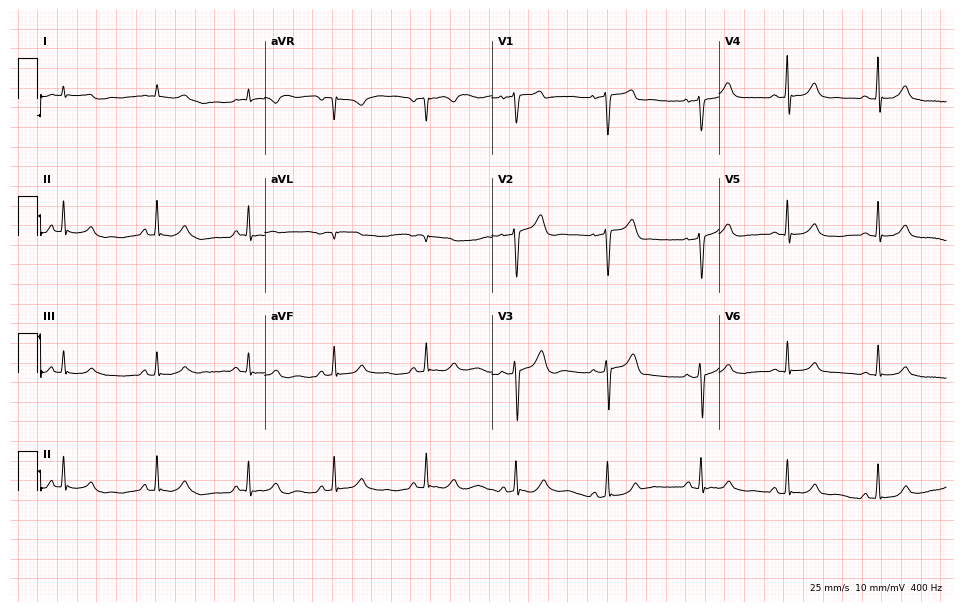
Resting 12-lead electrocardiogram (9.3-second recording at 400 Hz). Patient: a male, 47 years old. Read as a normal ECG.